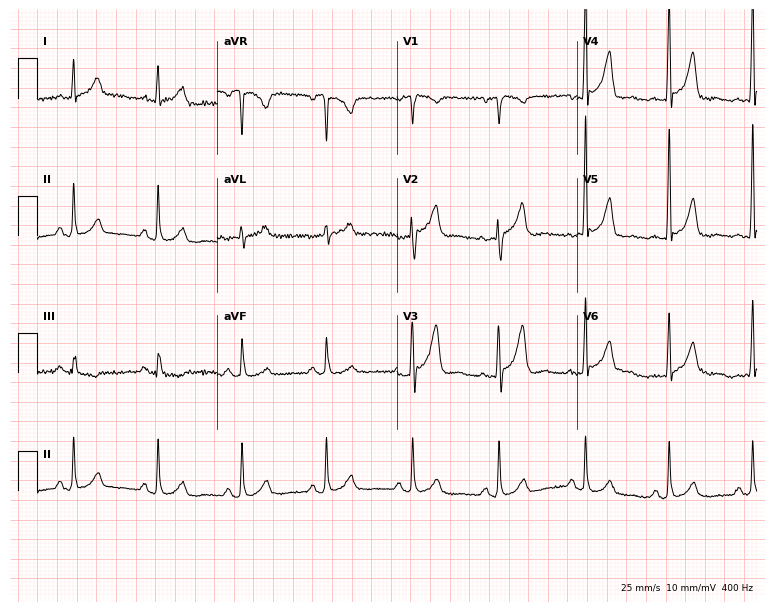
12-lead ECG (7.3-second recording at 400 Hz) from a 54-year-old male patient. Labelled as a normal ECG.